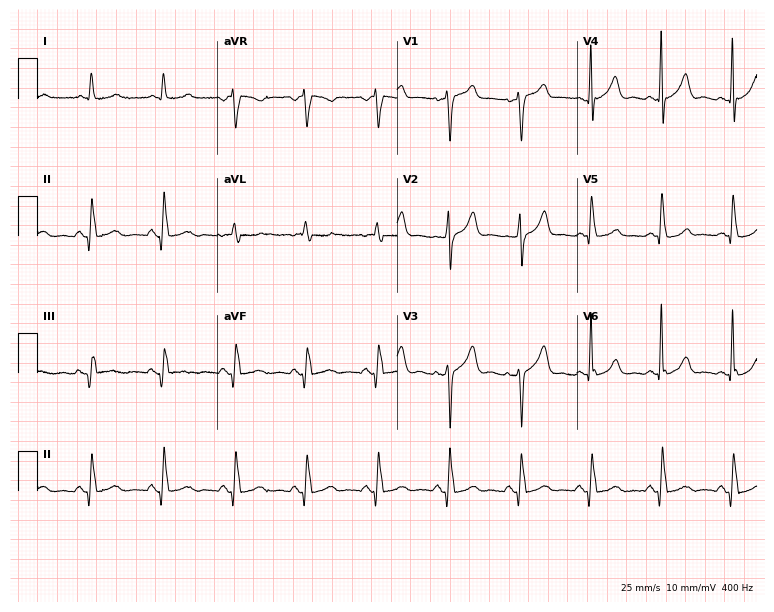
Standard 12-lead ECG recorded from a male, 85 years old (7.3-second recording at 400 Hz). None of these six findings is recorded: first-degree AV block, right bundle branch block, left bundle branch block, sinus bradycardia, atrial fibrillation, sinus tachycardia. Findings outside these six are not listed.